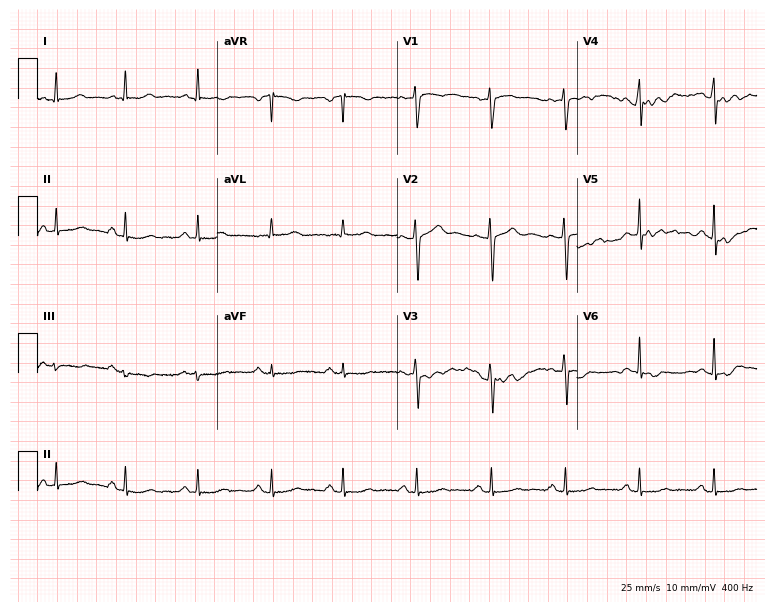
12-lead ECG from a 33-year-old woman. Screened for six findings — first-degree AV block, right bundle branch block (RBBB), left bundle branch block (LBBB), sinus bradycardia, atrial fibrillation (AF), sinus tachycardia — none is recorded. Other findings, if any, are not listed.